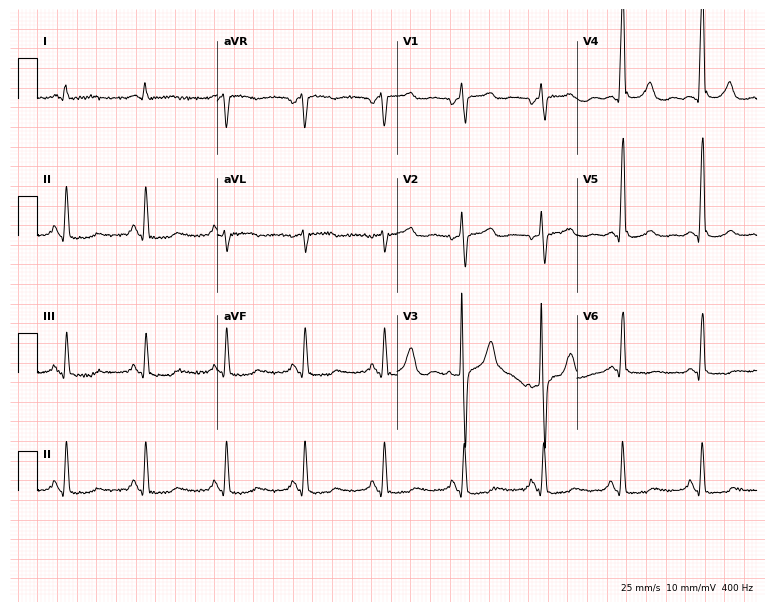
Standard 12-lead ECG recorded from a 56-year-old male patient. None of these six findings is recorded: first-degree AV block, right bundle branch block, left bundle branch block, sinus bradycardia, atrial fibrillation, sinus tachycardia.